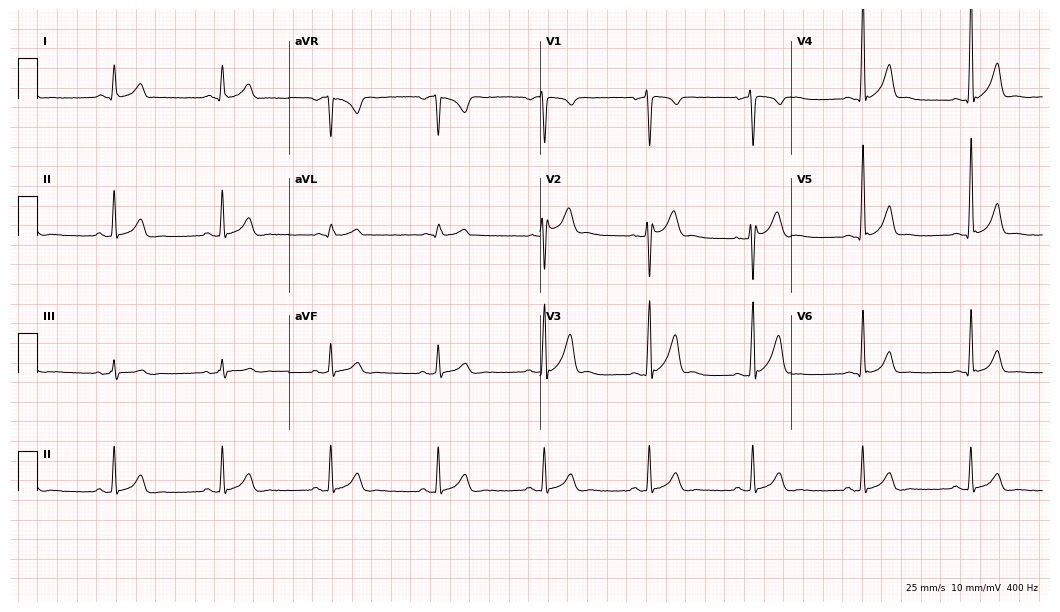
Resting 12-lead electrocardiogram. Patient: a 41-year-old male. None of these six findings is recorded: first-degree AV block, right bundle branch block, left bundle branch block, sinus bradycardia, atrial fibrillation, sinus tachycardia. Only these six findings were labelled.